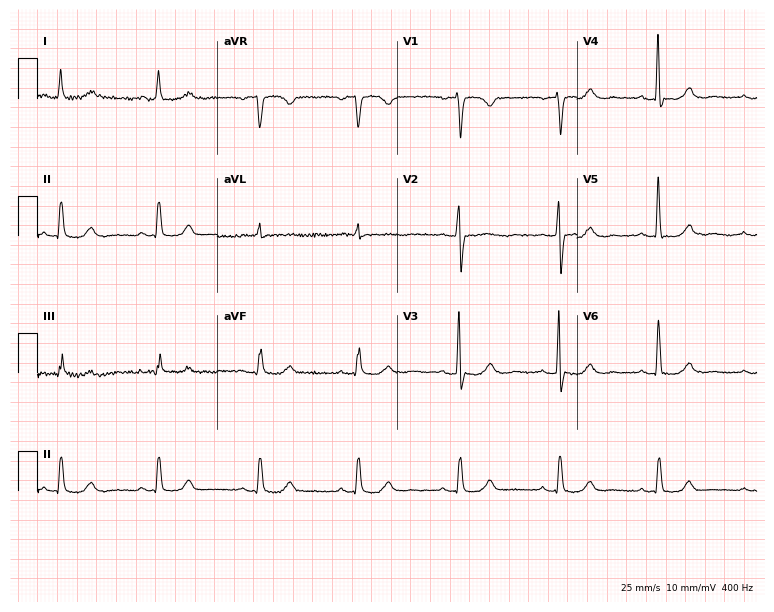
12-lead ECG from an 84-year-old female patient. No first-degree AV block, right bundle branch block, left bundle branch block, sinus bradycardia, atrial fibrillation or sinus tachycardia recorded for this tracing. Only these six findings were labelled.